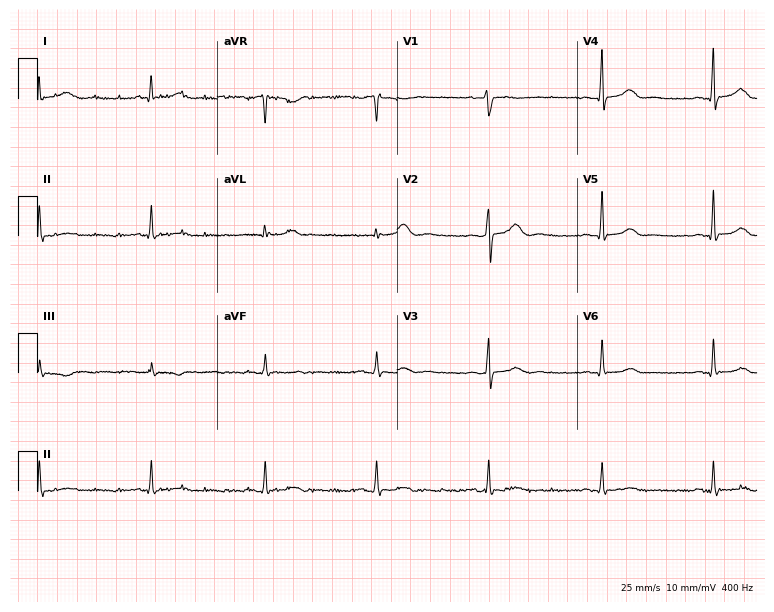
Electrocardiogram, a male patient, 44 years old. Overall reading on record: normal ECG.